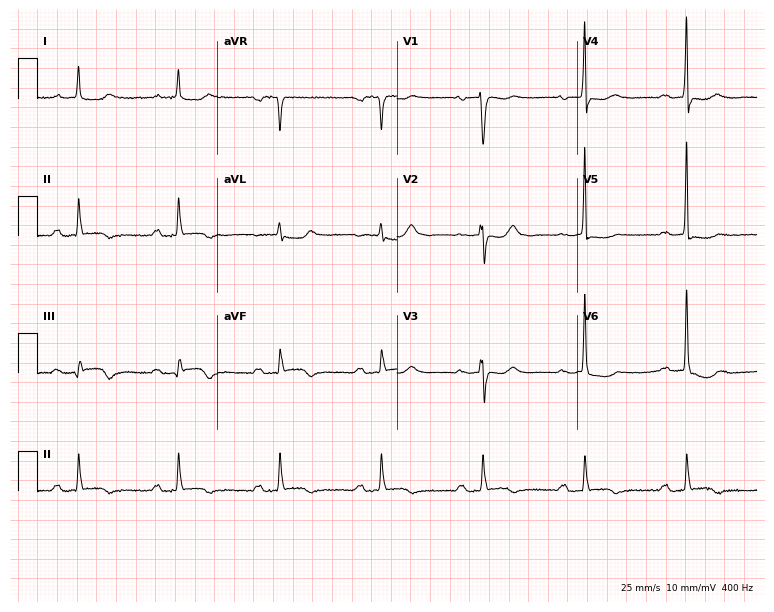
Resting 12-lead electrocardiogram (7.3-second recording at 400 Hz). Patient: an 80-year-old female. None of these six findings is recorded: first-degree AV block, right bundle branch block, left bundle branch block, sinus bradycardia, atrial fibrillation, sinus tachycardia.